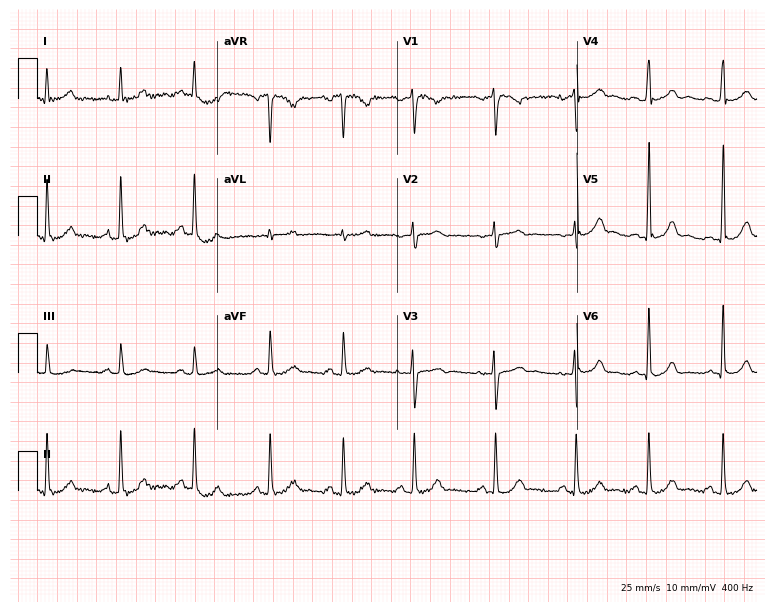
12-lead ECG from a female patient, 37 years old. Recorded interpretation: within normal limits.